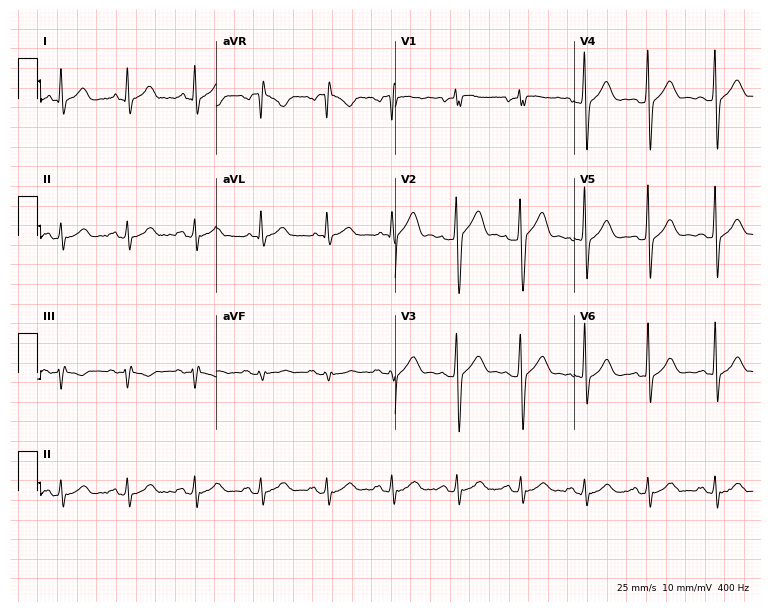
12-lead ECG from a man, 36 years old. No first-degree AV block, right bundle branch block, left bundle branch block, sinus bradycardia, atrial fibrillation or sinus tachycardia recorded for this tracing. Findings outside these six are not listed.